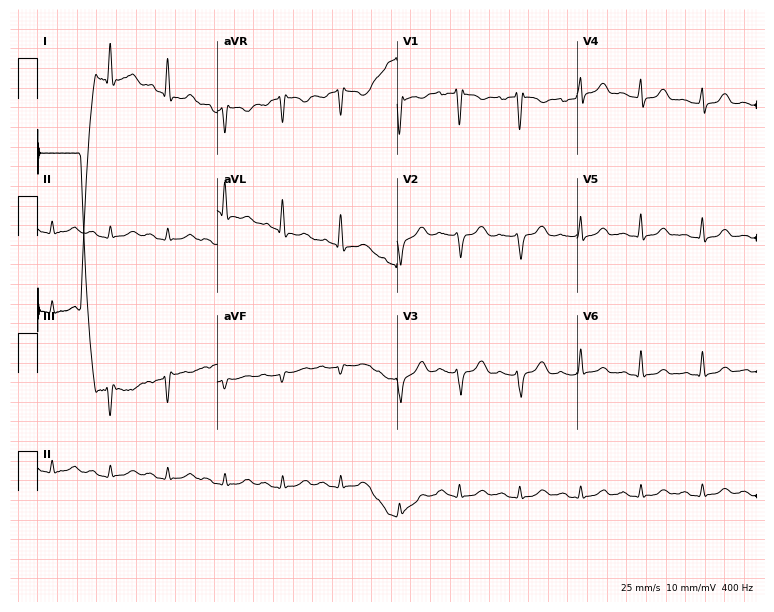
12-lead ECG (7.3-second recording at 400 Hz) from a man, 27 years old. Screened for six findings — first-degree AV block, right bundle branch block, left bundle branch block, sinus bradycardia, atrial fibrillation, sinus tachycardia — none is recorded. Findings outside these six are not listed.